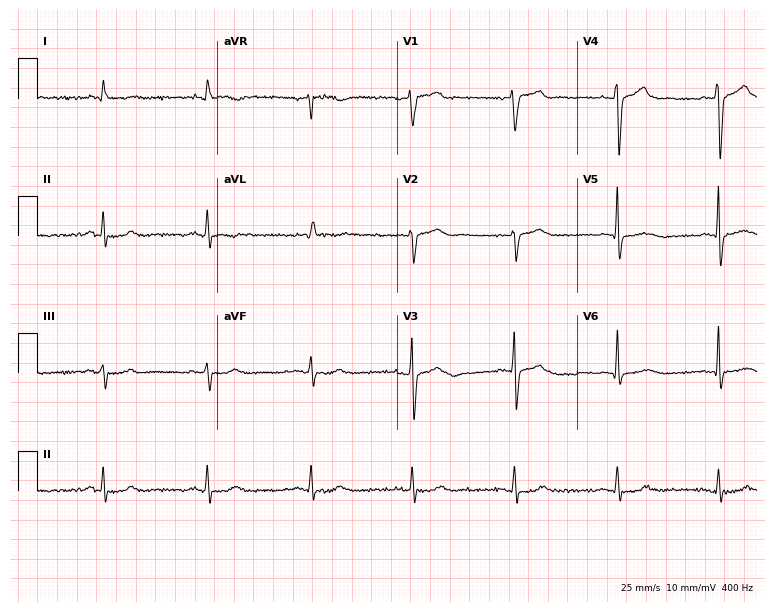
Electrocardiogram (7.3-second recording at 400 Hz), a man, 63 years old. Of the six screened findings (first-degree AV block, right bundle branch block, left bundle branch block, sinus bradycardia, atrial fibrillation, sinus tachycardia), none is recorded.